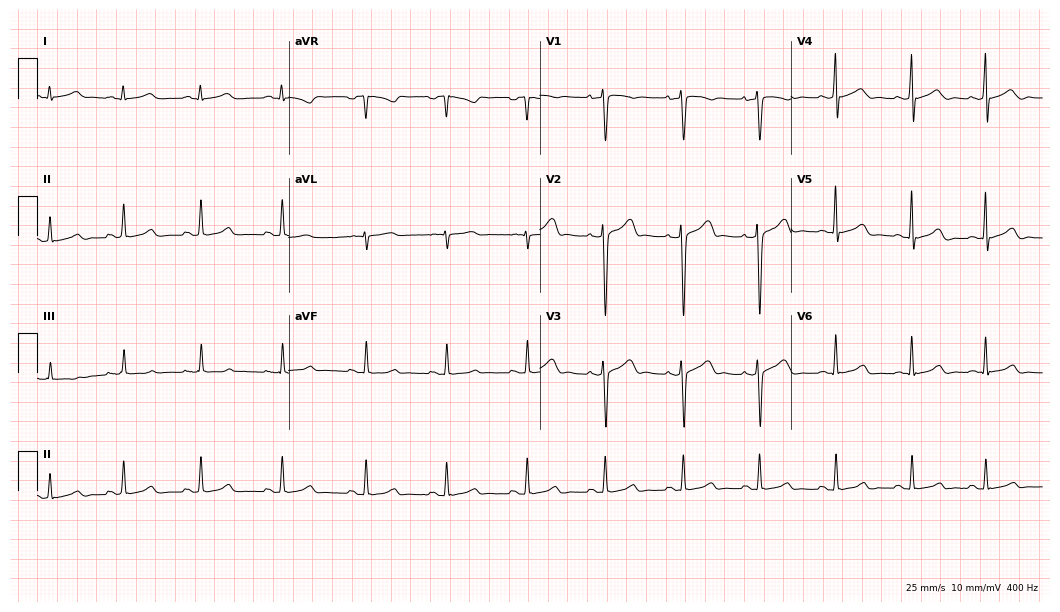
12-lead ECG (10.2-second recording at 400 Hz) from a man, 29 years old. Labelled as a normal ECG.